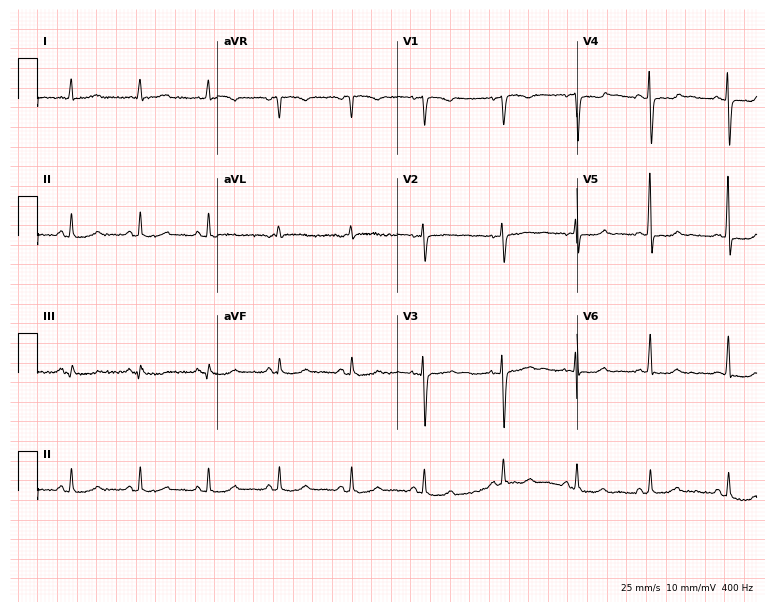
Electrocardiogram (7.3-second recording at 400 Hz), a 51-year-old female patient. Overall reading on record: normal ECG.